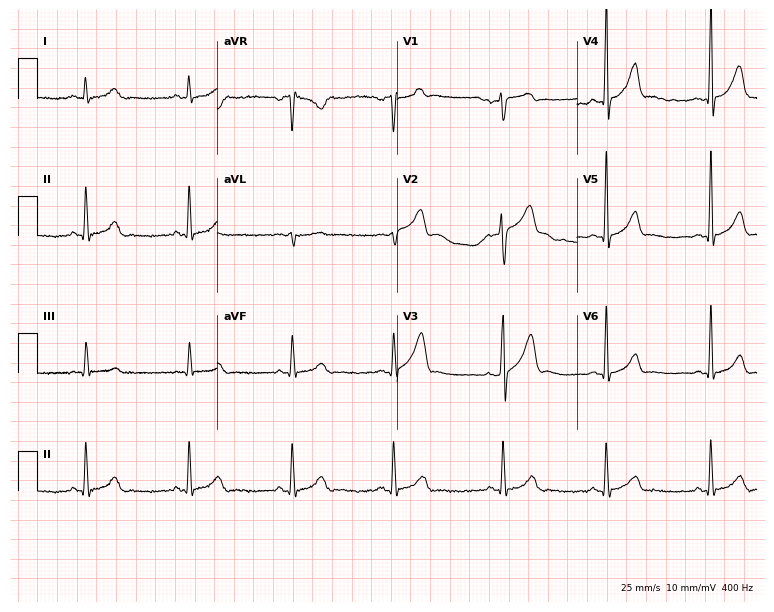
Resting 12-lead electrocardiogram (7.3-second recording at 400 Hz). Patient: a man, 47 years old. Read as a normal ECG.